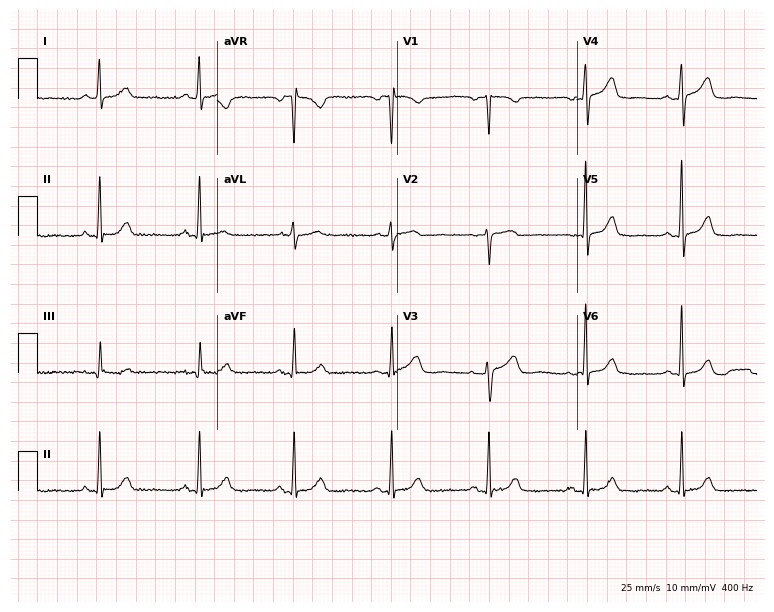
12-lead ECG from a woman, 84 years old (7.3-second recording at 400 Hz). Recorded interpretation: within normal limits.